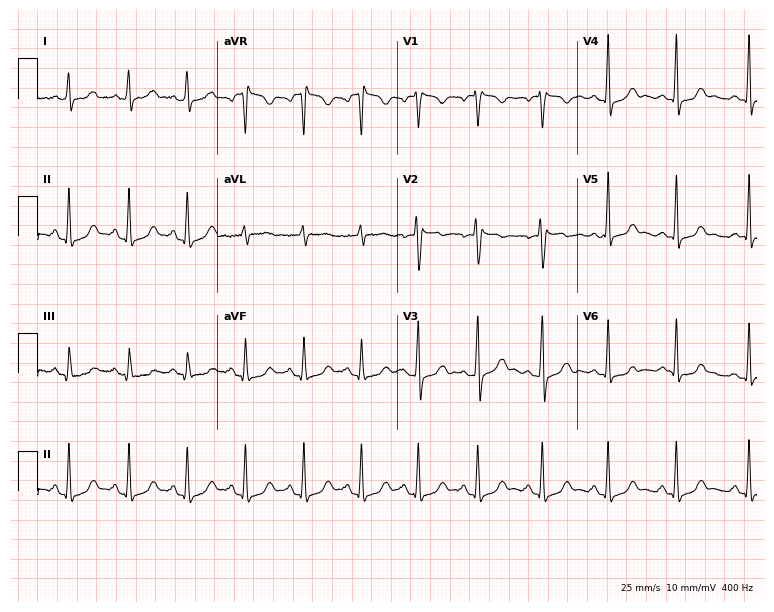
Electrocardiogram, a 35-year-old female. Overall reading on record: normal ECG.